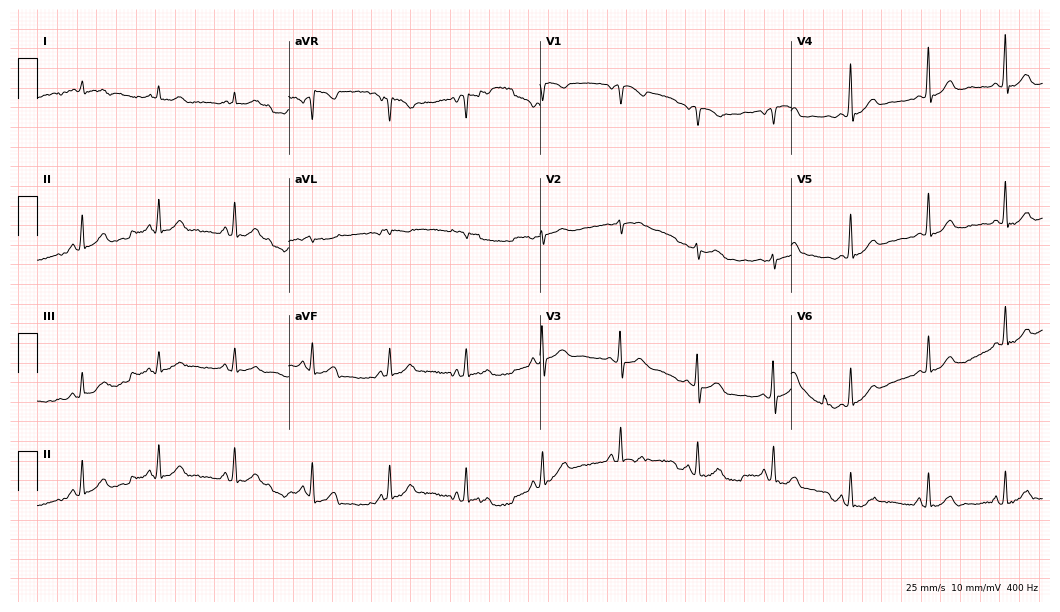
12-lead ECG from a female, 62 years old (10.2-second recording at 400 Hz). Recorded interpretation: within normal limits.